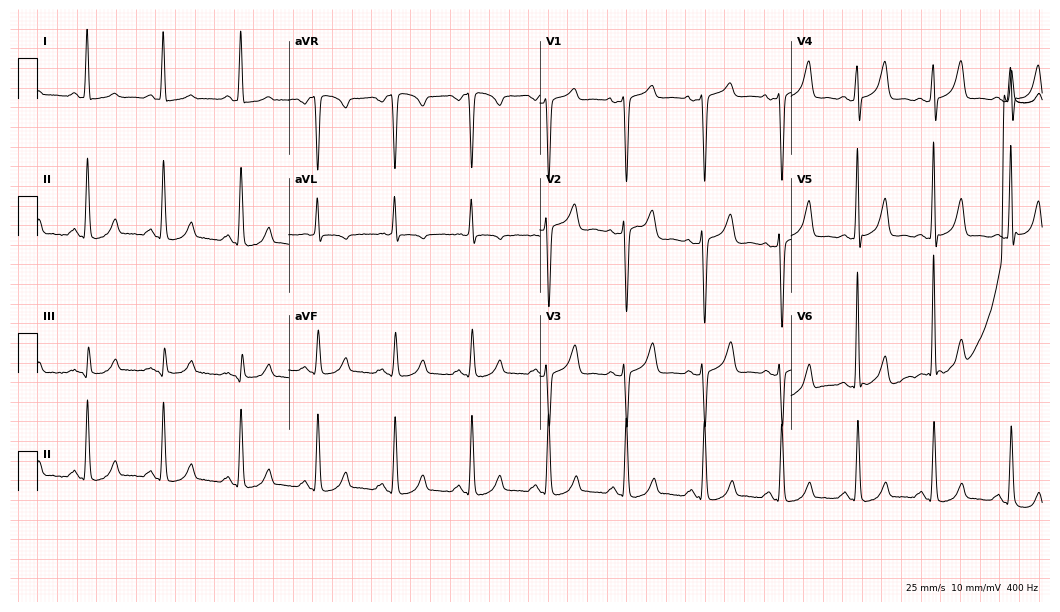
Resting 12-lead electrocardiogram. Patient: a female, 37 years old. None of these six findings is recorded: first-degree AV block, right bundle branch block, left bundle branch block, sinus bradycardia, atrial fibrillation, sinus tachycardia.